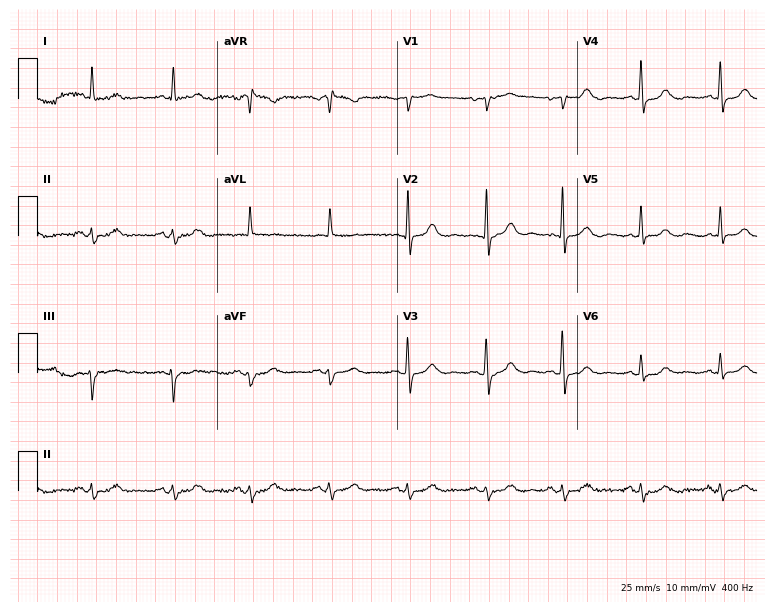
ECG — a female, 82 years old. Screened for six findings — first-degree AV block, right bundle branch block (RBBB), left bundle branch block (LBBB), sinus bradycardia, atrial fibrillation (AF), sinus tachycardia — none is recorded.